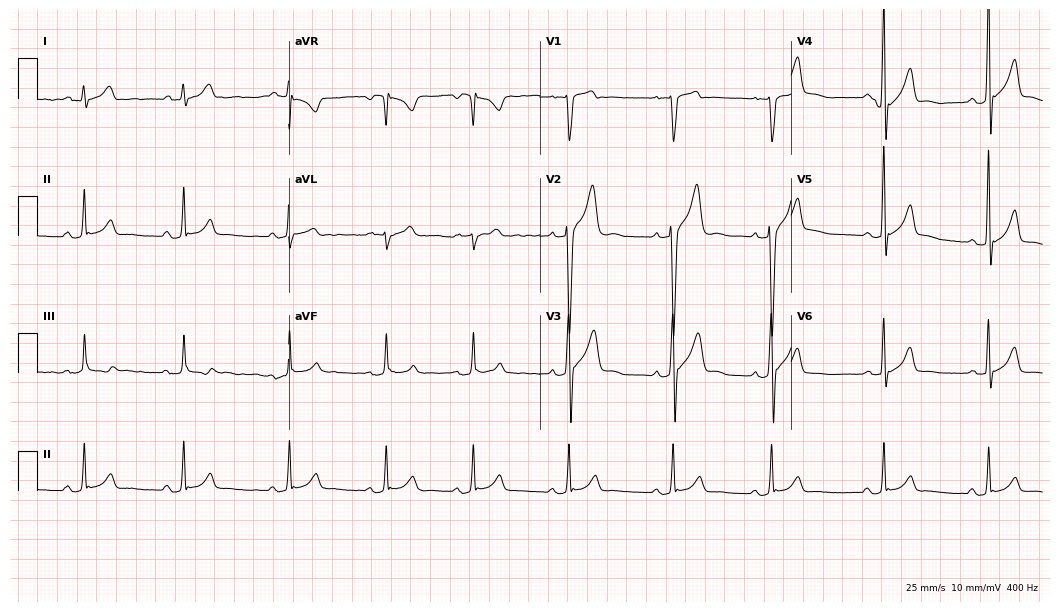
ECG (10.2-second recording at 400 Hz) — a male, 28 years old. Labelled as a normal ECG.